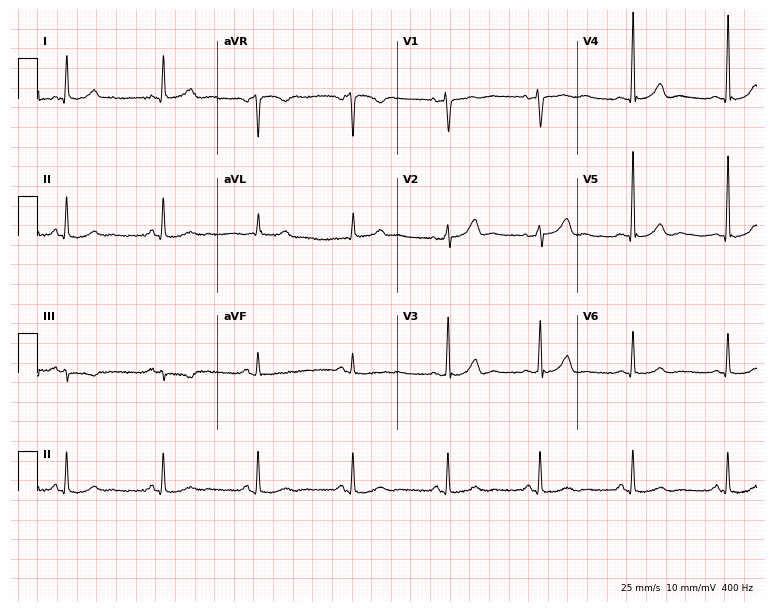
Electrocardiogram, a 56-year-old female patient. Overall reading on record: normal ECG.